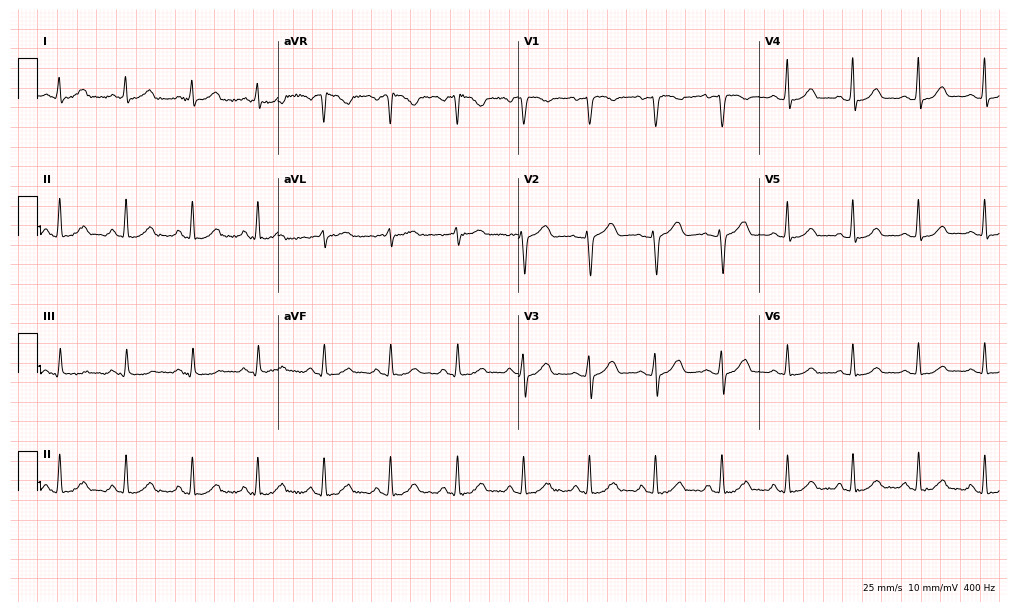
Resting 12-lead electrocardiogram. Patient: a woman, 40 years old. Read as a normal ECG.